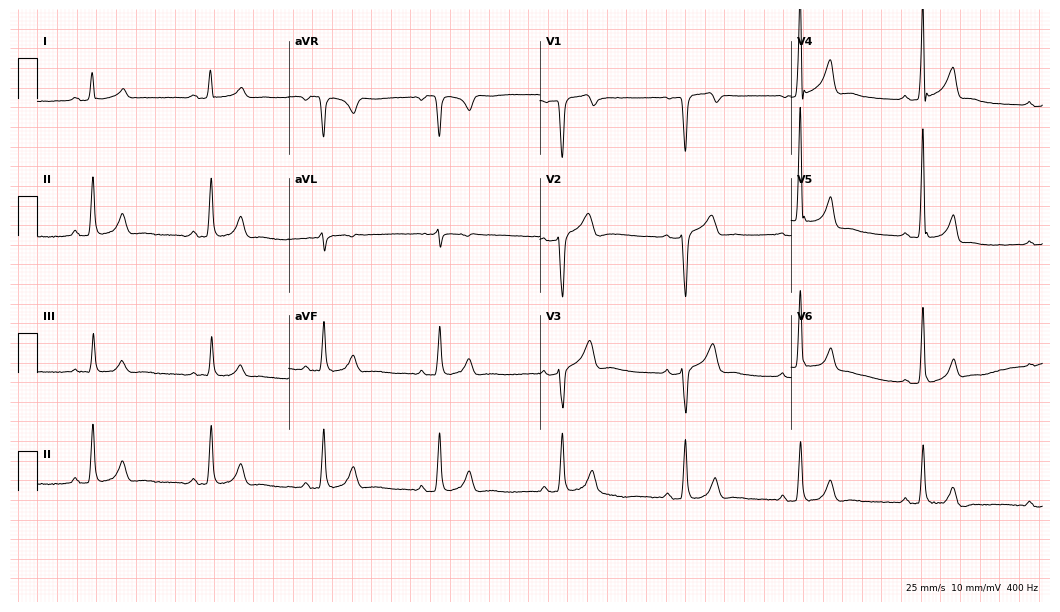
Electrocardiogram, a 46-year-old male. Of the six screened findings (first-degree AV block, right bundle branch block (RBBB), left bundle branch block (LBBB), sinus bradycardia, atrial fibrillation (AF), sinus tachycardia), none is recorded.